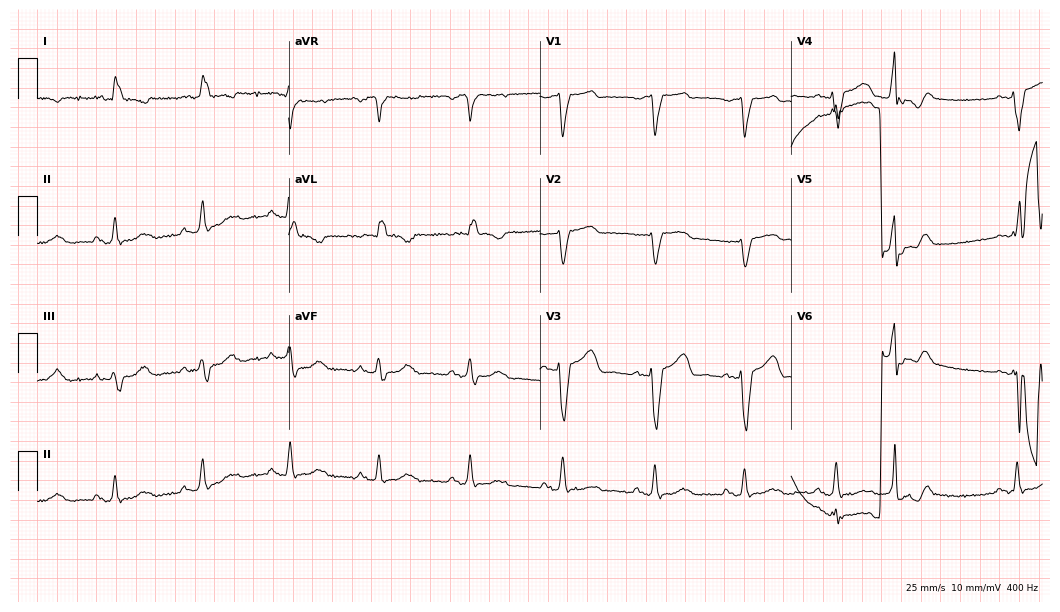
12-lead ECG from a 72-year-old woman. Shows left bundle branch block.